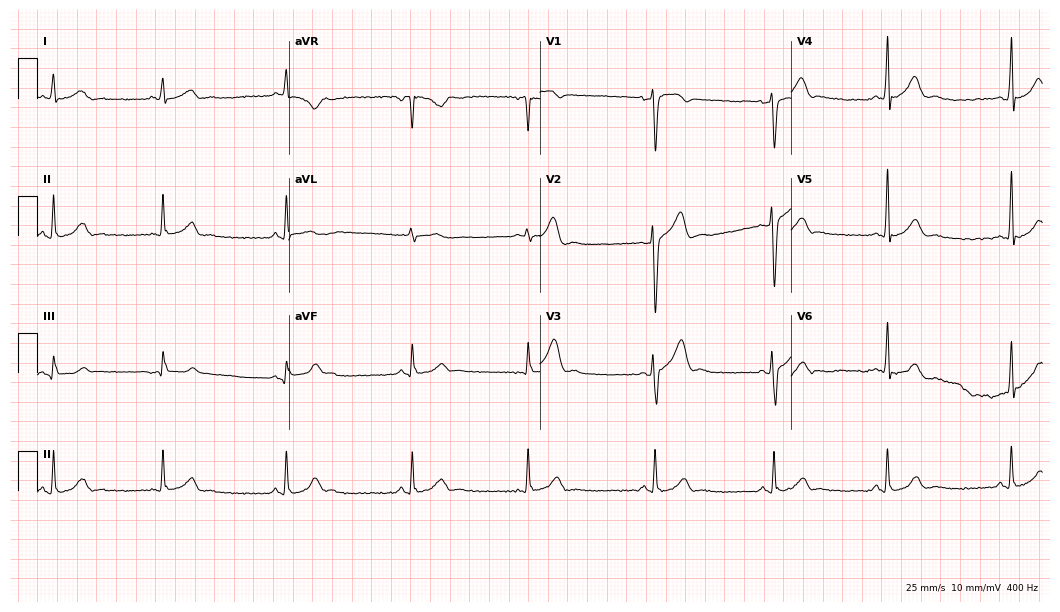
Resting 12-lead electrocardiogram (10.2-second recording at 400 Hz). Patient: a male, 28 years old. None of these six findings is recorded: first-degree AV block, right bundle branch block (RBBB), left bundle branch block (LBBB), sinus bradycardia, atrial fibrillation (AF), sinus tachycardia. Other findings, if any, are not listed.